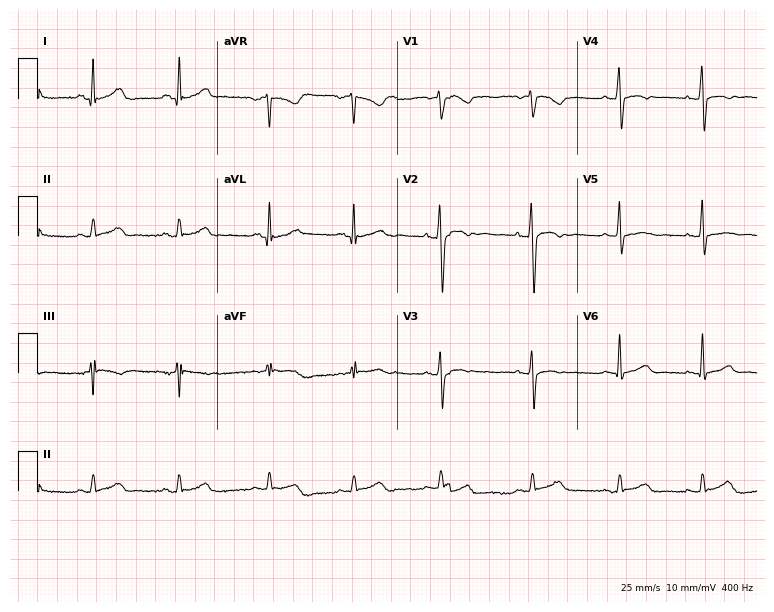
Resting 12-lead electrocardiogram. Patient: a 28-year-old woman. None of these six findings is recorded: first-degree AV block, right bundle branch block, left bundle branch block, sinus bradycardia, atrial fibrillation, sinus tachycardia.